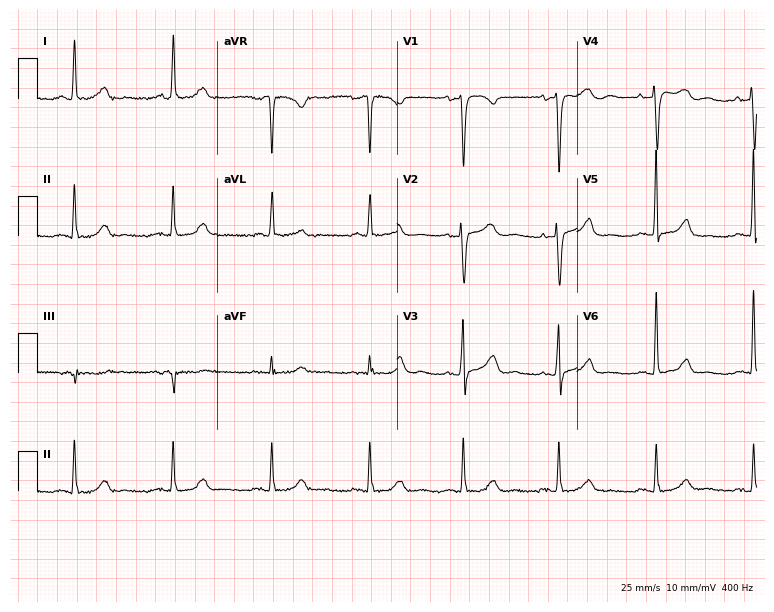
Resting 12-lead electrocardiogram (7.3-second recording at 400 Hz). Patient: a 63-year-old female. None of these six findings is recorded: first-degree AV block, right bundle branch block, left bundle branch block, sinus bradycardia, atrial fibrillation, sinus tachycardia. Findings outside these six are not listed.